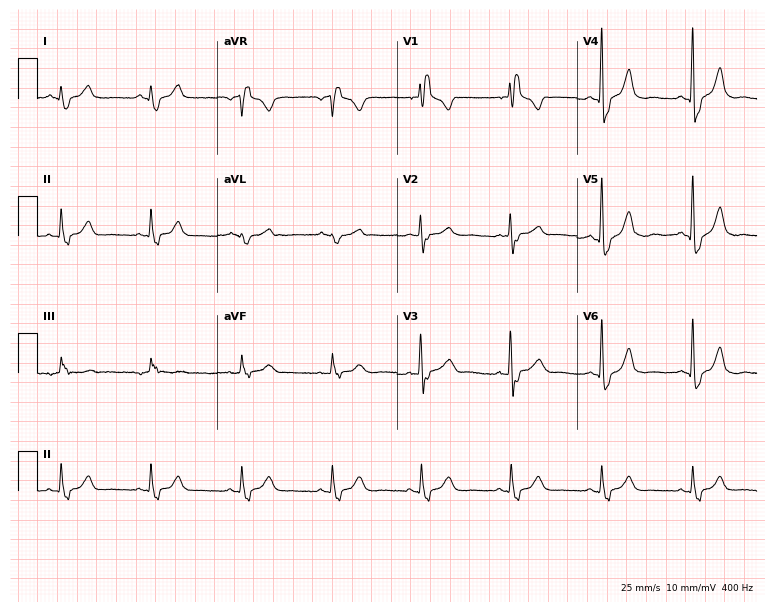
Electrocardiogram (7.3-second recording at 400 Hz), a male, 73 years old. Interpretation includes right bundle branch block.